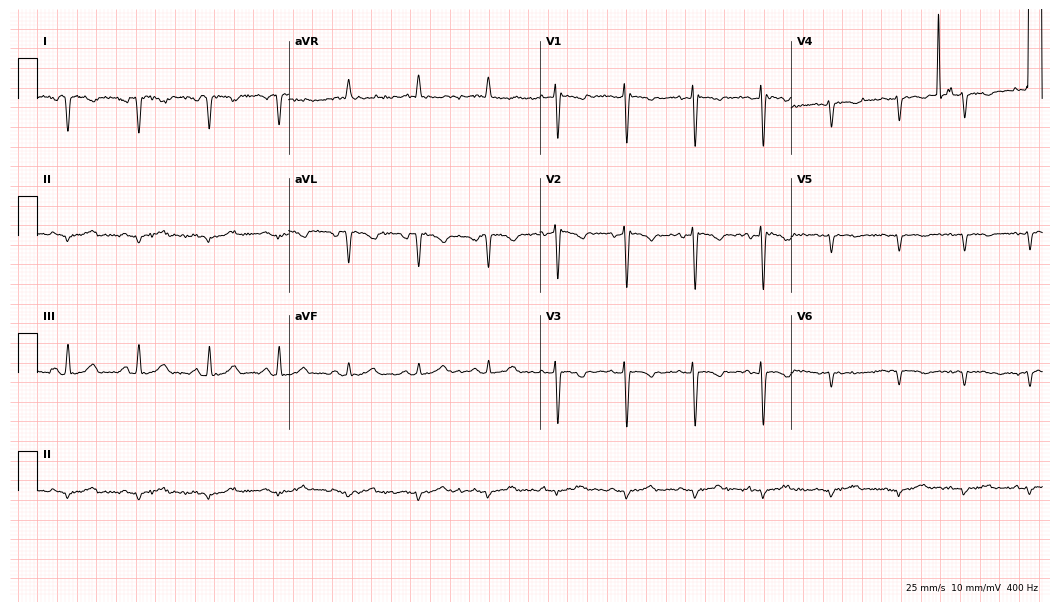
12-lead ECG from a 36-year-old woman. Screened for six findings — first-degree AV block, right bundle branch block, left bundle branch block, sinus bradycardia, atrial fibrillation, sinus tachycardia — none is recorded.